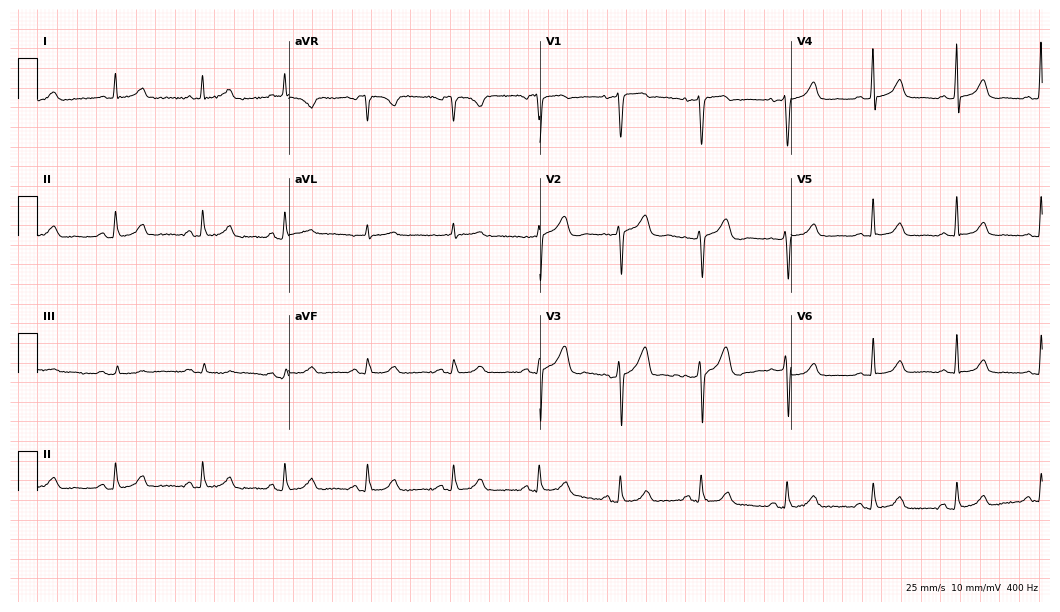
Standard 12-lead ECG recorded from a 44-year-old woman (10.2-second recording at 400 Hz). Read as a normal ECG.